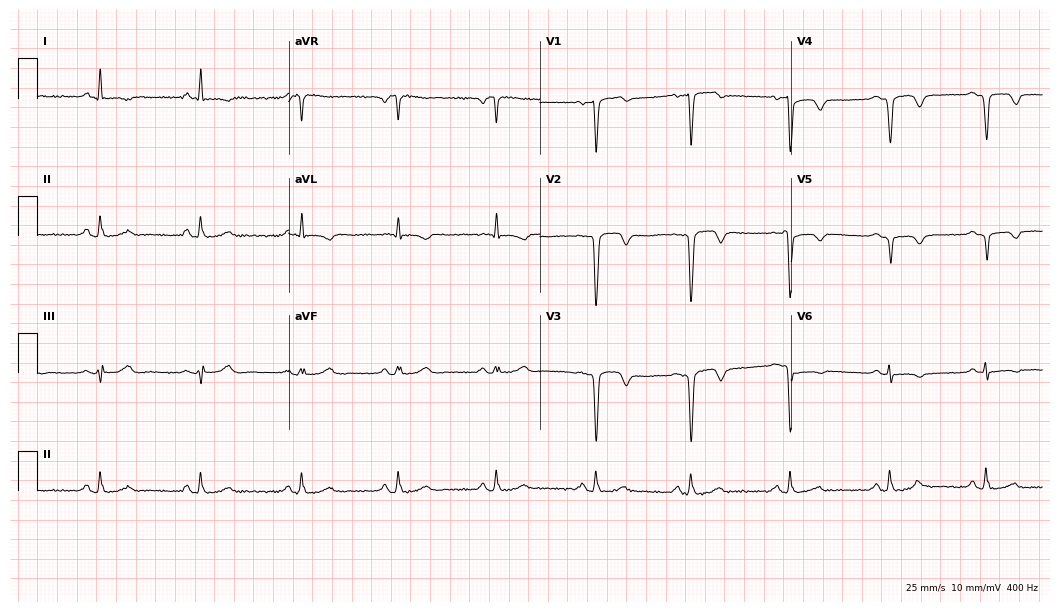
Standard 12-lead ECG recorded from a man, 58 years old. None of these six findings is recorded: first-degree AV block, right bundle branch block, left bundle branch block, sinus bradycardia, atrial fibrillation, sinus tachycardia.